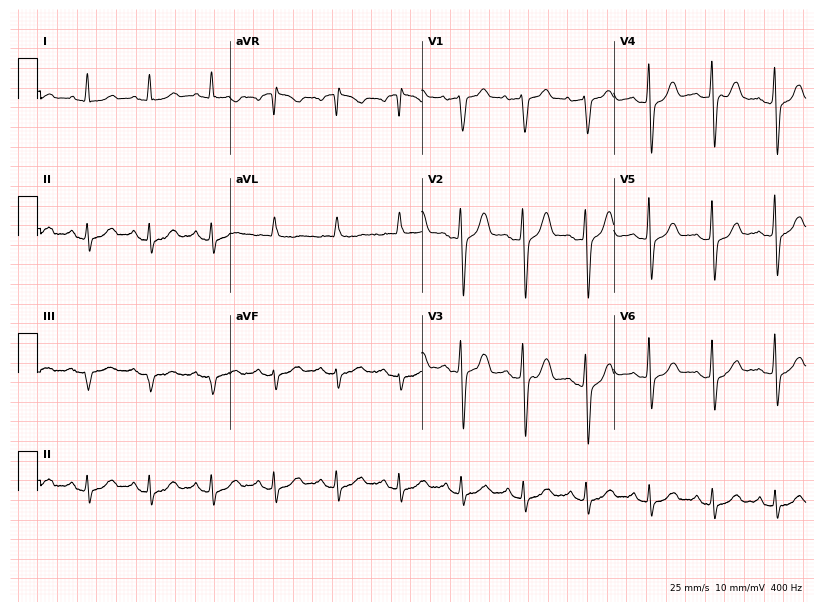
Resting 12-lead electrocardiogram (7.8-second recording at 400 Hz). Patient: a 77-year-old male. None of these six findings is recorded: first-degree AV block, right bundle branch block, left bundle branch block, sinus bradycardia, atrial fibrillation, sinus tachycardia. Findings outside these six are not listed.